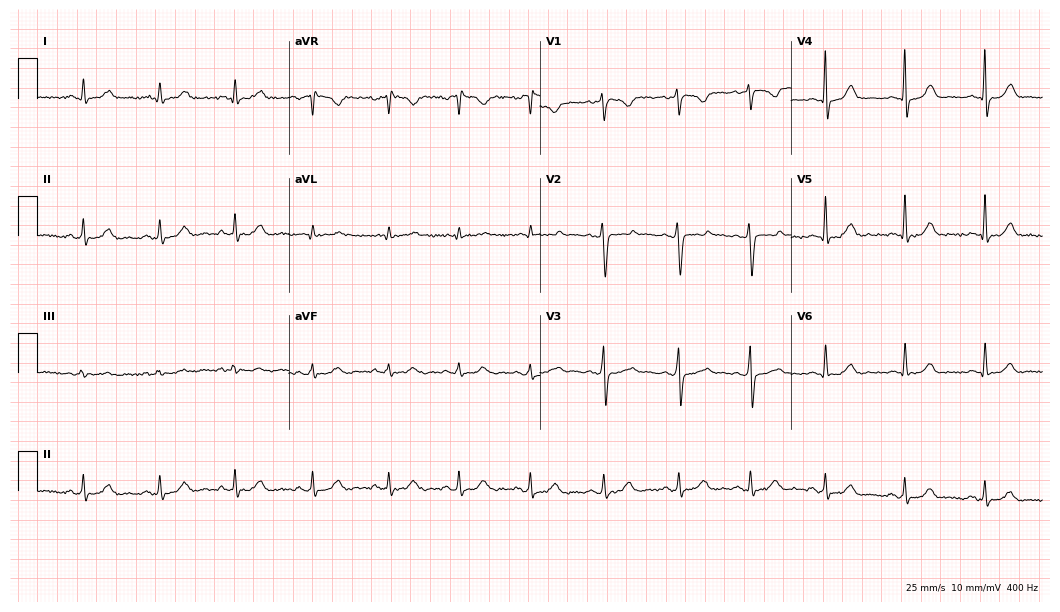
Electrocardiogram, a woman, 29 years old. Of the six screened findings (first-degree AV block, right bundle branch block, left bundle branch block, sinus bradycardia, atrial fibrillation, sinus tachycardia), none is recorded.